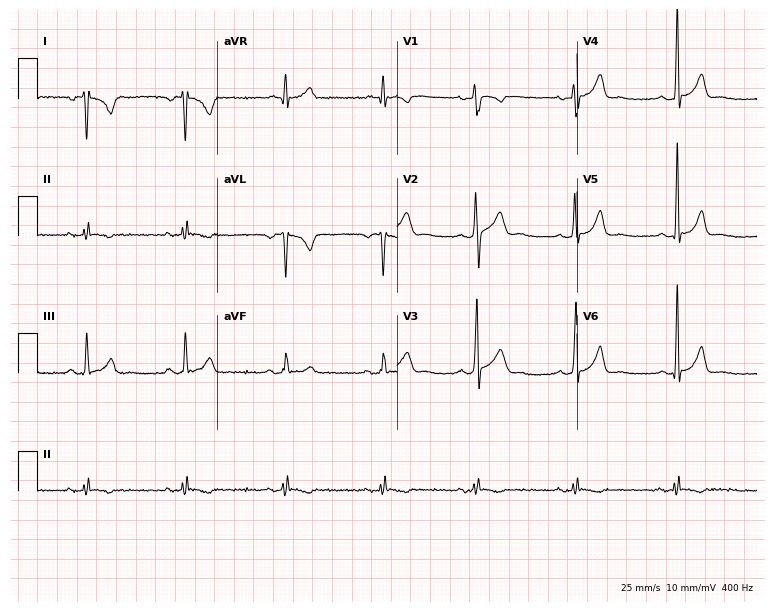
12-lead ECG (7.3-second recording at 400 Hz) from a 28-year-old male patient. Screened for six findings — first-degree AV block, right bundle branch block, left bundle branch block, sinus bradycardia, atrial fibrillation, sinus tachycardia — none is recorded. Only these six findings were labelled.